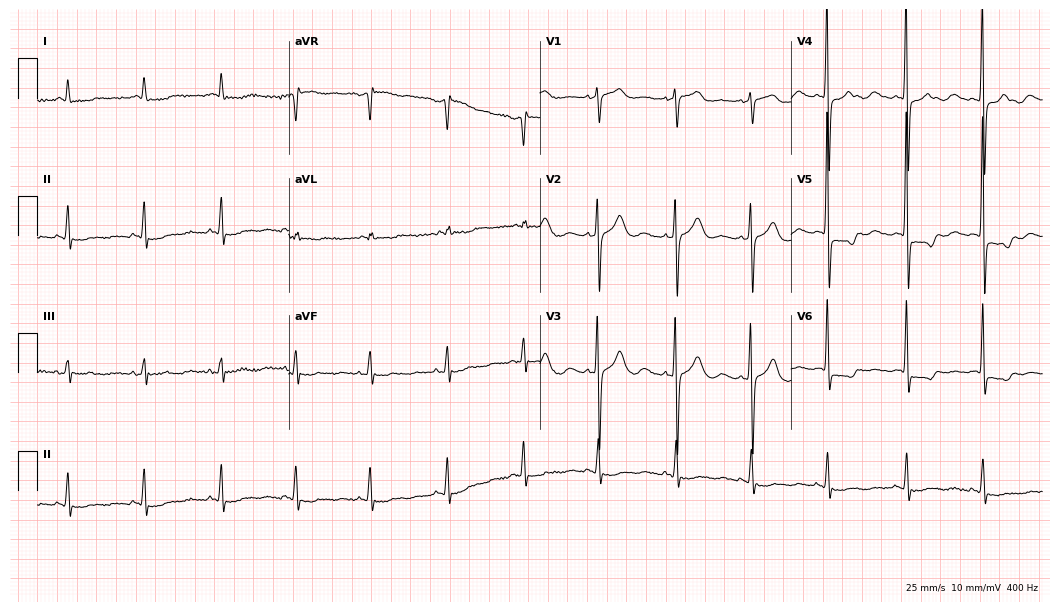
12-lead ECG from a female, 81 years old (10.2-second recording at 400 Hz). No first-degree AV block, right bundle branch block, left bundle branch block, sinus bradycardia, atrial fibrillation or sinus tachycardia recorded for this tracing. Only these six findings were labelled.